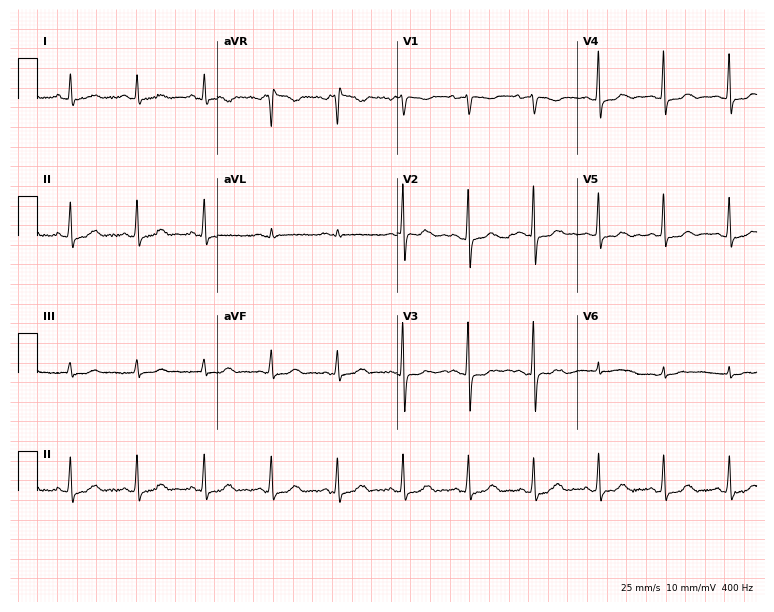
ECG — a female, 52 years old. Labelled as a normal ECG.